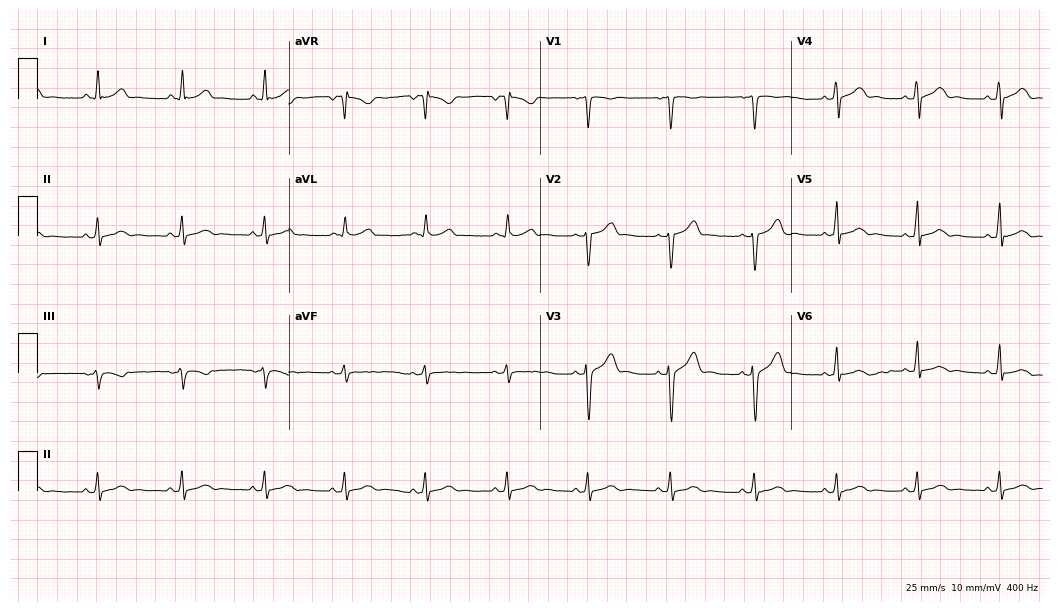
12-lead ECG (10.2-second recording at 400 Hz) from a male patient, 41 years old. Labelled as a normal ECG.